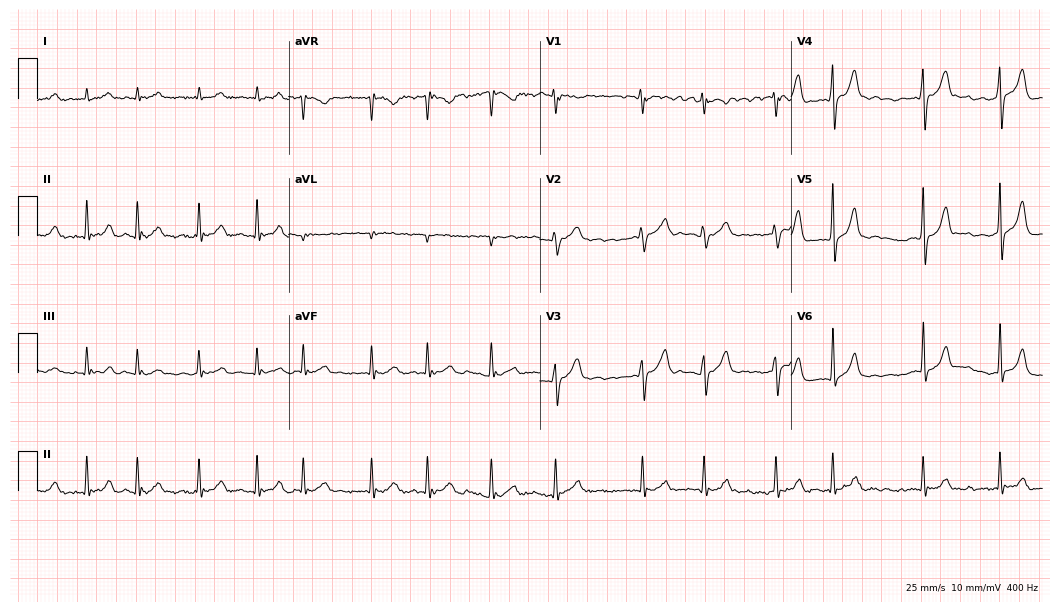
12-lead ECG from a 79-year-old male (10.2-second recording at 400 Hz). No first-degree AV block, right bundle branch block, left bundle branch block, sinus bradycardia, atrial fibrillation or sinus tachycardia recorded for this tracing.